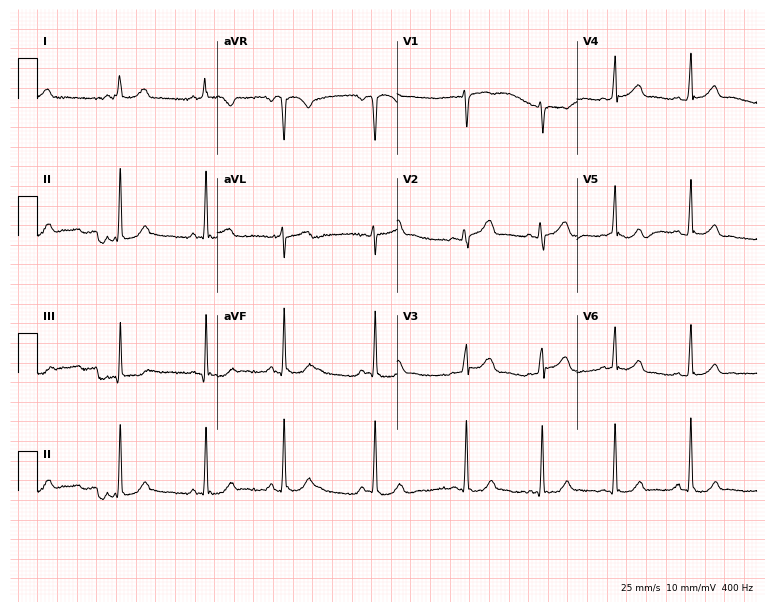
12-lead ECG (7.3-second recording at 400 Hz) from a 22-year-old woman. Screened for six findings — first-degree AV block, right bundle branch block, left bundle branch block, sinus bradycardia, atrial fibrillation, sinus tachycardia — none is recorded.